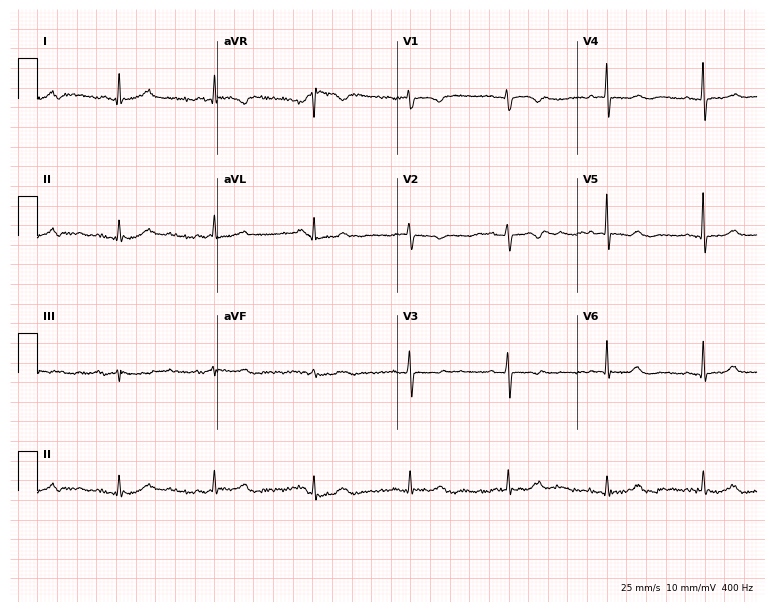
Electrocardiogram (7.3-second recording at 400 Hz), a woman, 76 years old. Overall reading on record: normal ECG.